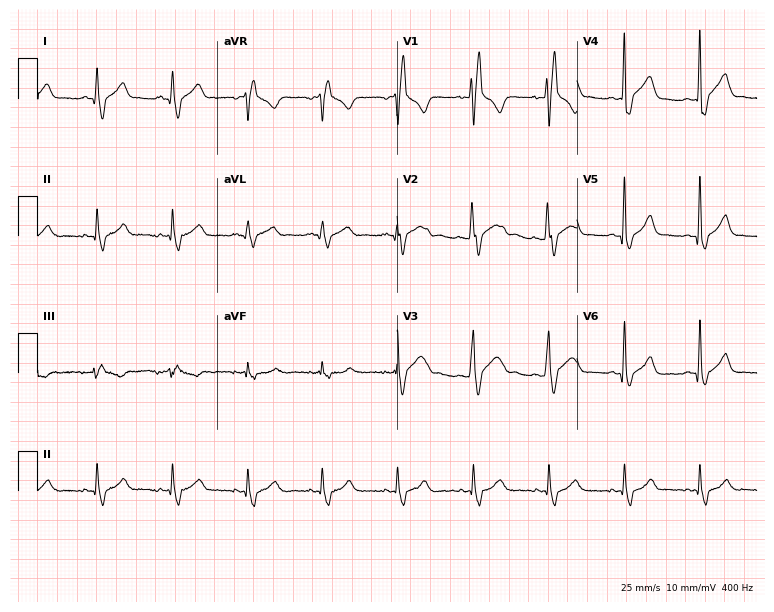
Resting 12-lead electrocardiogram. Patient: a 42-year-old man. The tracing shows right bundle branch block (RBBB).